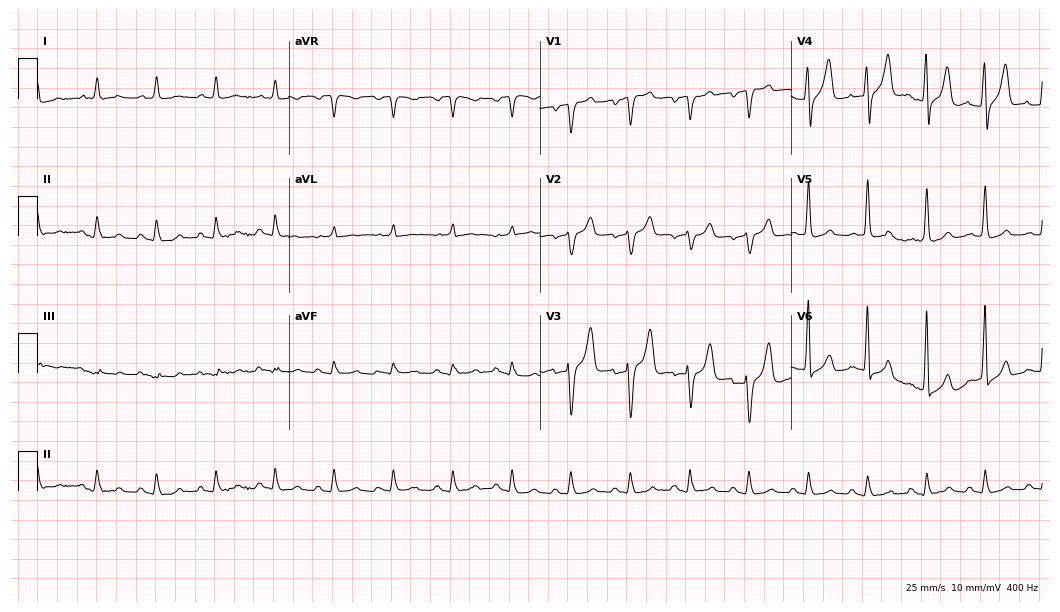
Standard 12-lead ECG recorded from an 82-year-old man (10.2-second recording at 400 Hz). None of these six findings is recorded: first-degree AV block, right bundle branch block, left bundle branch block, sinus bradycardia, atrial fibrillation, sinus tachycardia. Findings outside these six are not listed.